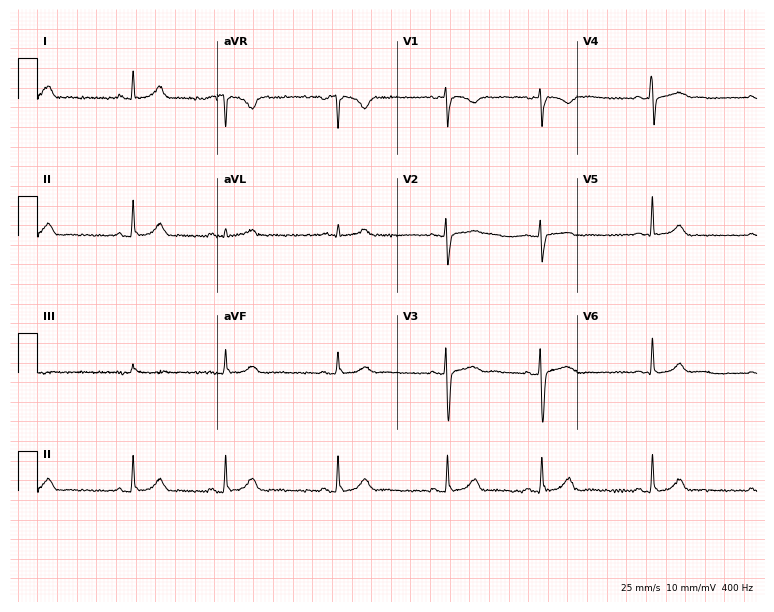
Resting 12-lead electrocardiogram. Patient: a 29-year-old woman. Read as a normal ECG.